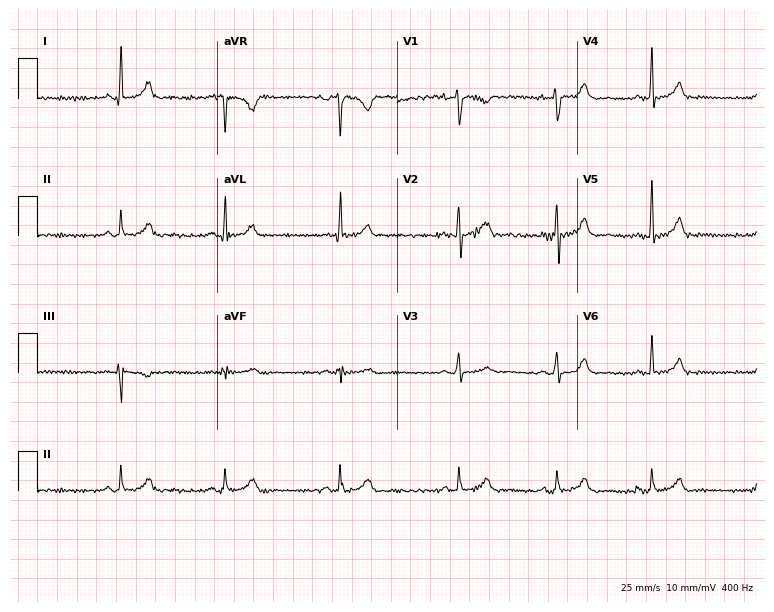
Electrocardiogram (7.3-second recording at 400 Hz), a woman, 28 years old. Of the six screened findings (first-degree AV block, right bundle branch block, left bundle branch block, sinus bradycardia, atrial fibrillation, sinus tachycardia), none is recorded. Only these six findings were labelled.